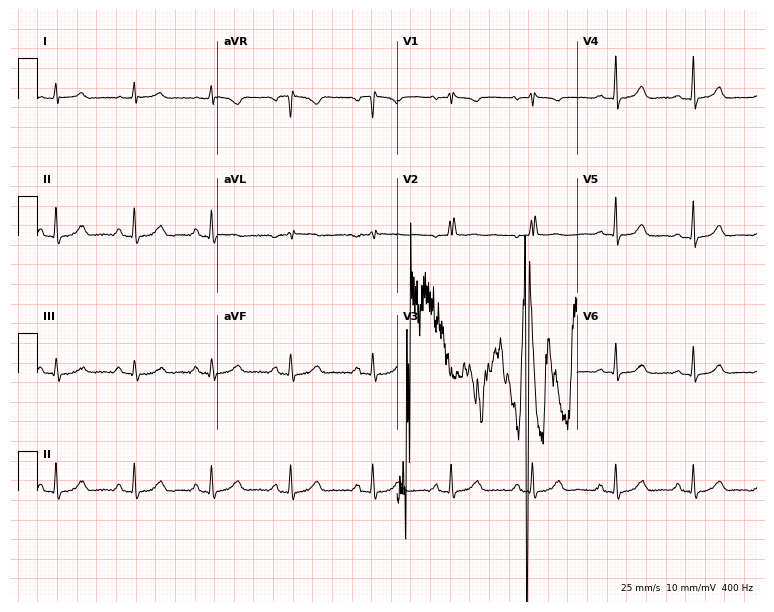
Resting 12-lead electrocardiogram (7.3-second recording at 400 Hz). Patient: a 19-year-old woman. None of these six findings is recorded: first-degree AV block, right bundle branch block (RBBB), left bundle branch block (LBBB), sinus bradycardia, atrial fibrillation (AF), sinus tachycardia. Other findings, if any, are not listed.